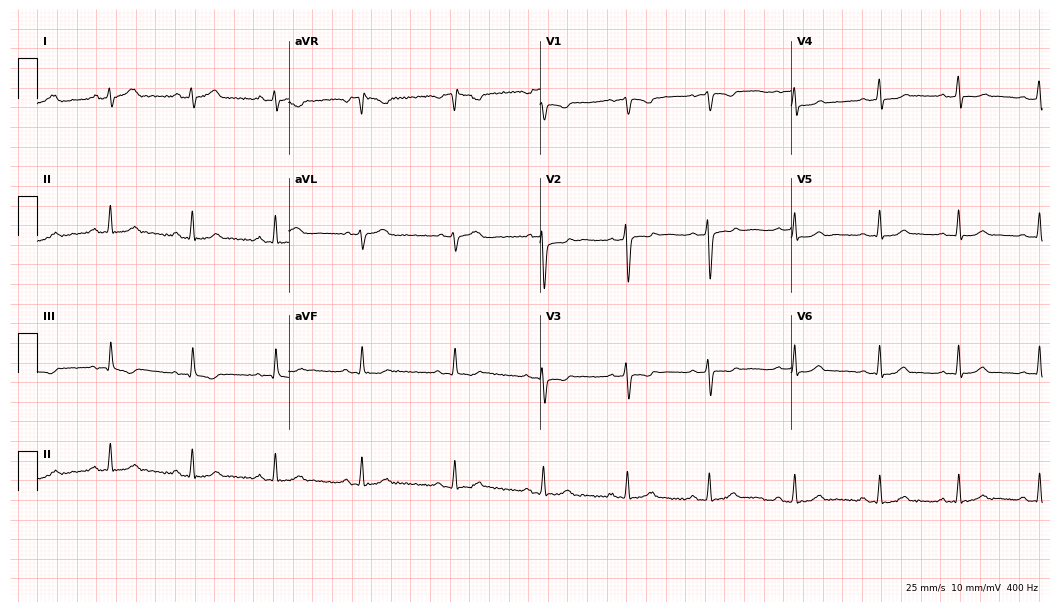
12-lead ECG (10.2-second recording at 400 Hz) from a 20-year-old female. Labelled as a normal ECG.